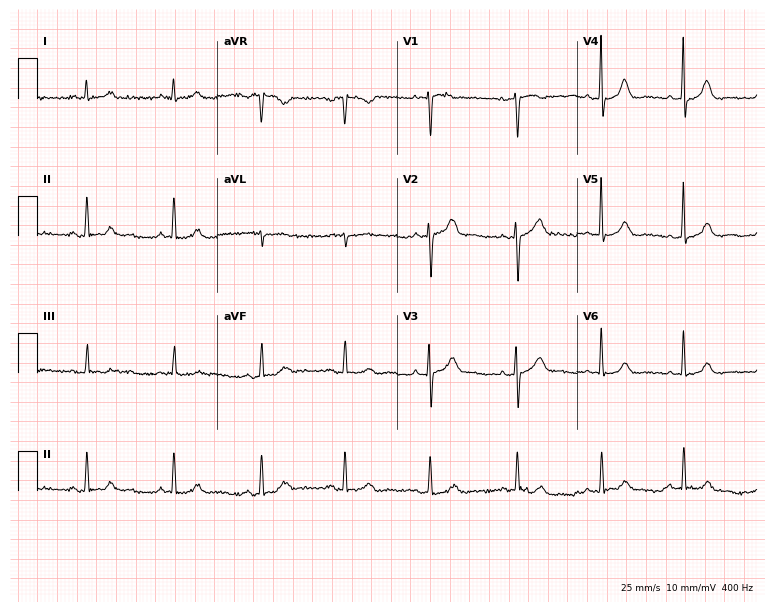
12-lead ECG from a 43-year-old female. Screened for six findings — first-degree AV block, right bundle branch block, left bundle branch block, sinus bradycardia, atrial fibrillation, sinus tachycardia — none is recorded.